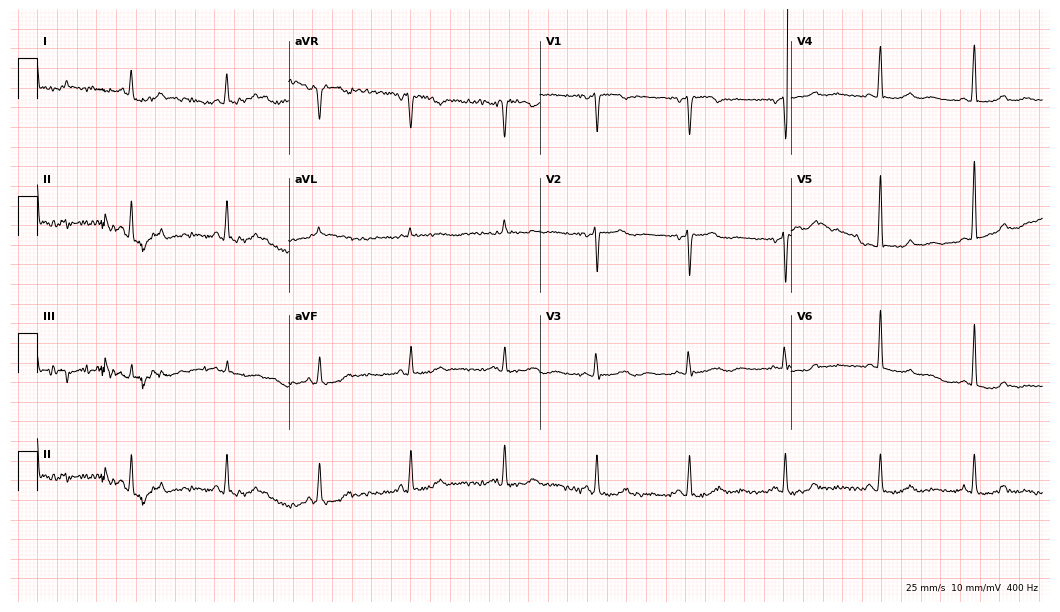
Resting 12-lead electrocardiogram (10.2-second recording at 400 Hz). Patient: a woman, 56 years old. None of these six findings is recorded: first-degree AV block, right bundle branch block, left bundle branch block, sinus bradycardia, atrial fibrillation, sinus tachycardia.